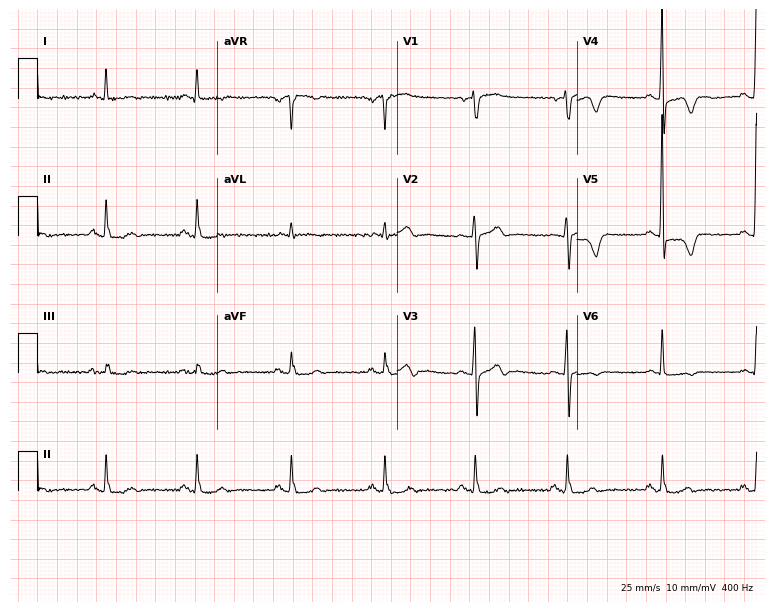
Resting 12-lead electrocardiogram. Patient: a male, 25 years old. None of these six findings is recorded: first-degree AV block, right bundle branch block, left bundle branch block, sinus bradycardia, atrial fibrillation, sinus tachycardia.